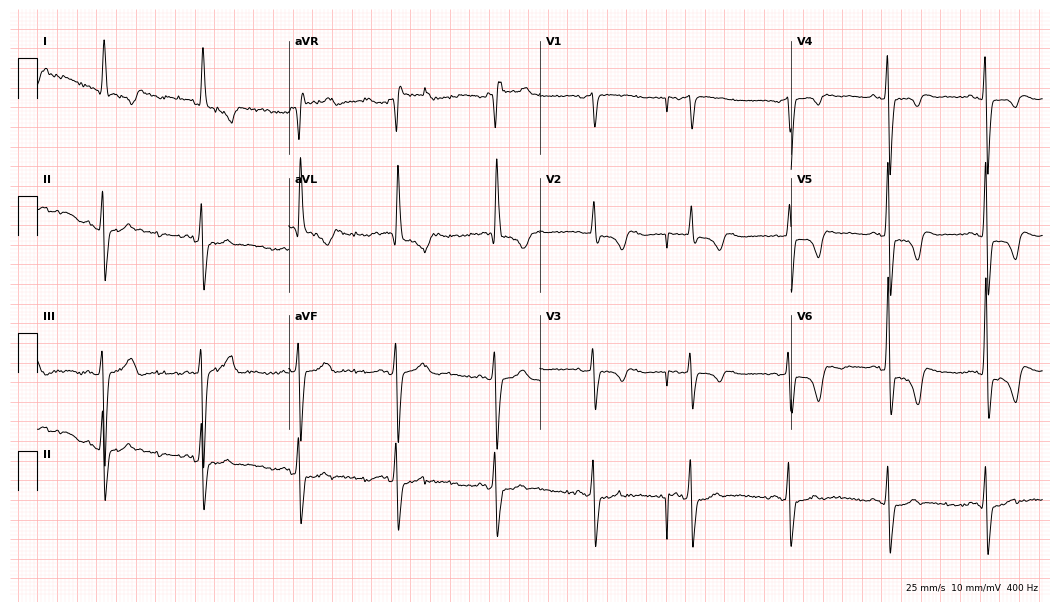
12-lead ECG from a female patient, 83 years old. No first-degree AV block, right bundle branch block, left bundle branch block, sinus bradycardia, atrial fibrillation or sinus tachycardia recorded for this tracing.